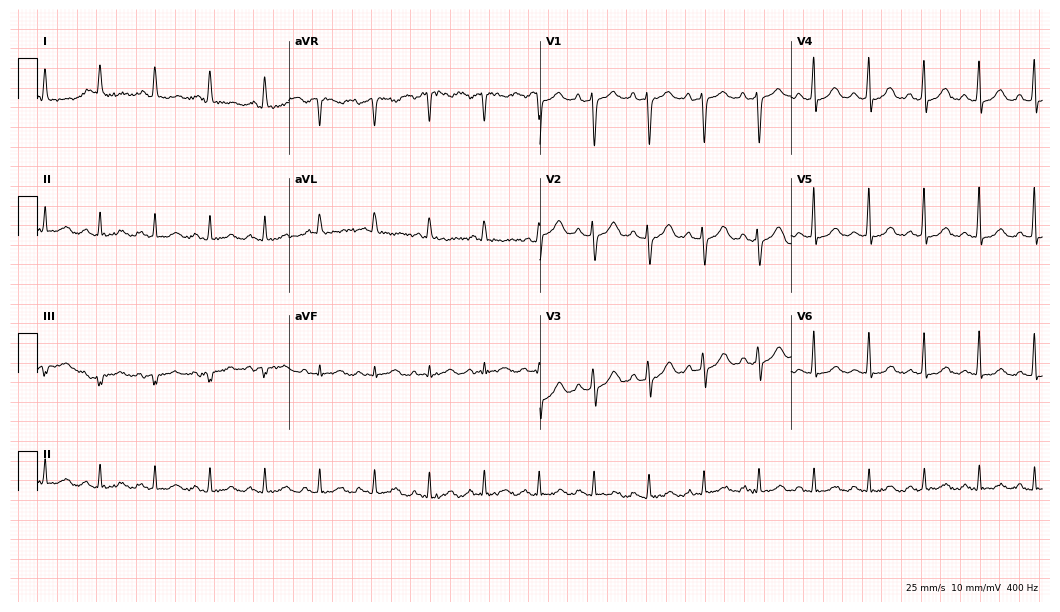
Standard 12-lead ECG recorded from a 79-year-old female patient (10.2-second recording at 400 Hz). None of these six findings is recorded: first-degree AV block, right bundle branch block, left bundle branch block, sinus bradycardia, atrial fibrillation, sinus tachycardia.